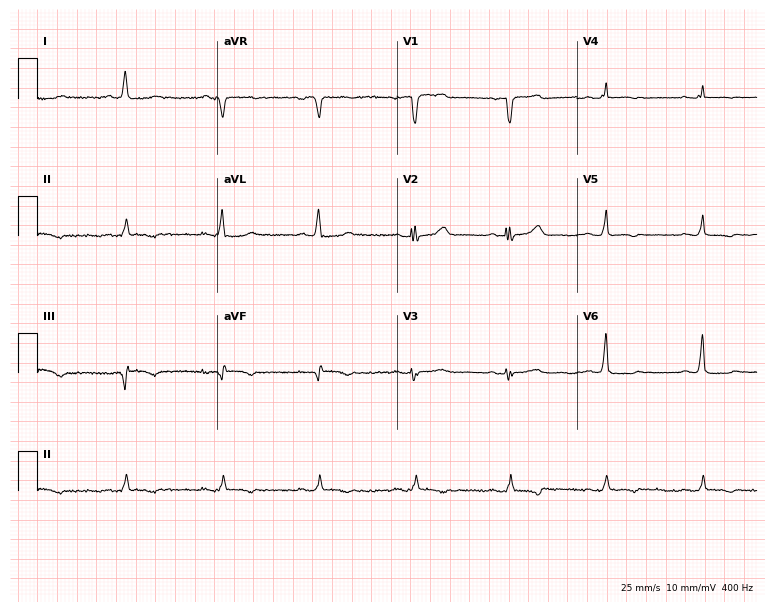
ECG — a 76-year-old woman. Screened for six findings — first-degree AV block, right bundle branch block (RBBB), left bundle branch block (LBBB), sinus bradycardia, atrial fibrillation (AF), sinus tachycardia — none is recorded.